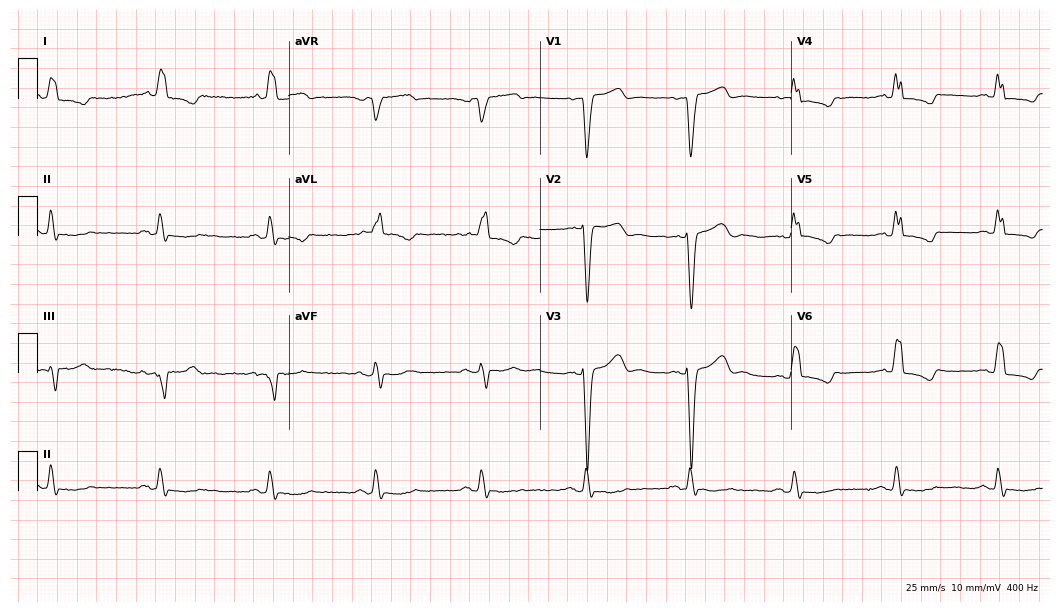
Standard 12-lead ECG recorded from an 86-year-old man (10.2-second recording at 400 Hz). The tracing shows left bundle branch block.